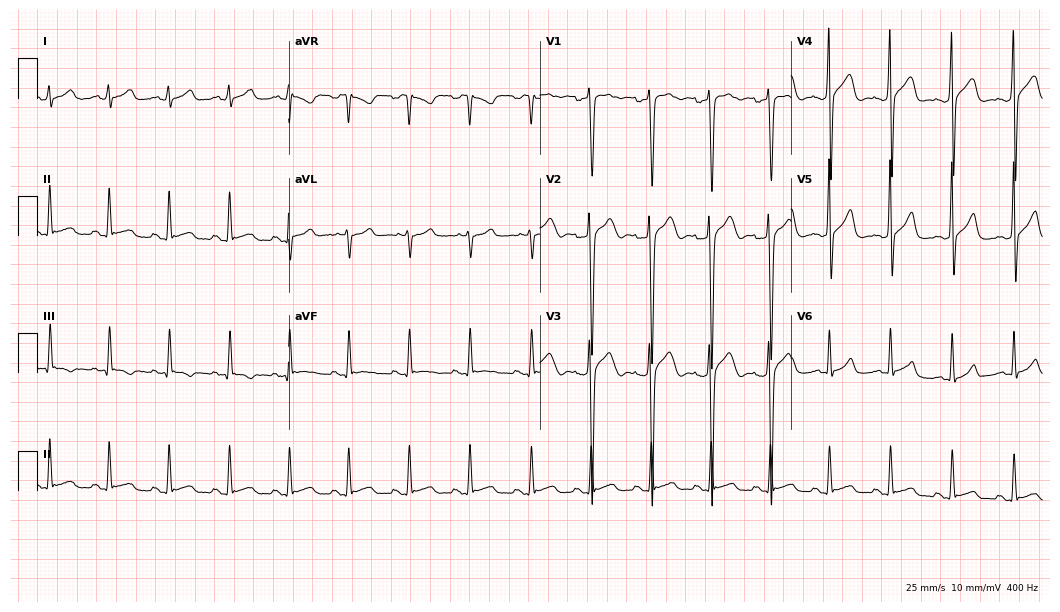
12-lead ECG from a male, 23 years old. No first-degree AV block, right bundle branch block (RBBB), left bundle branch block (LBBB), sinus bradycardia, atrial fibrillation (AF) or sinus tachycardia recorded for this tracing. Findings outside these six are not listed.